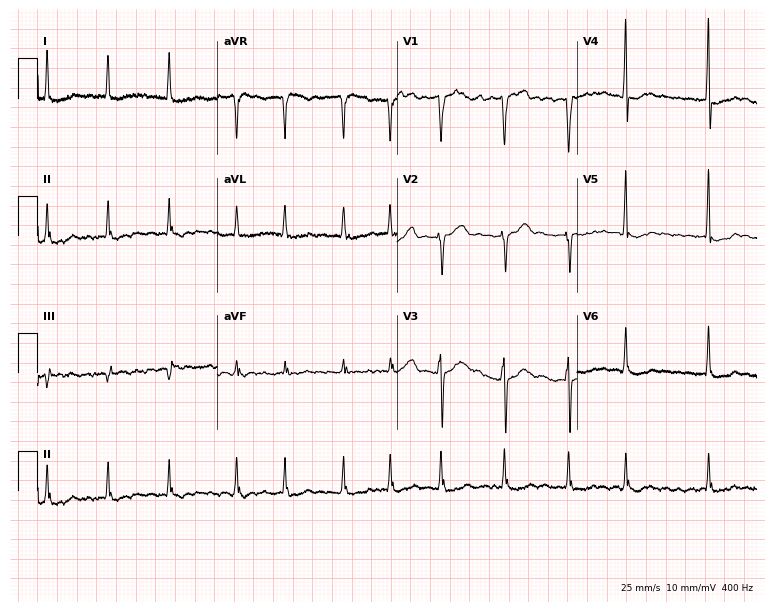
12-lead ECG from a male, 68 years old (7.3-second recording at 400 Hz). Shows atrial fibrillation.